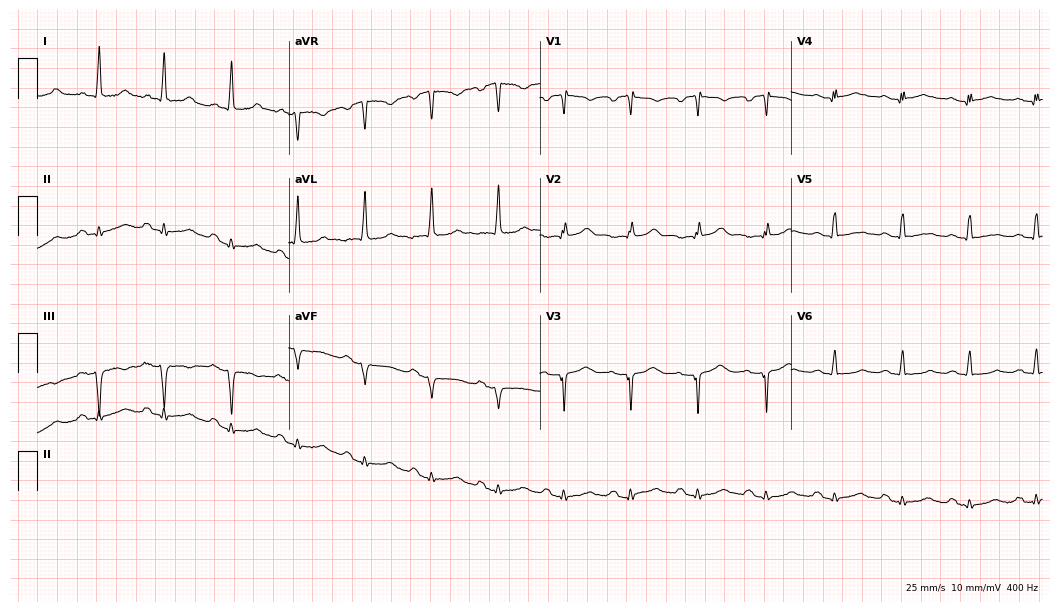
ECG — a 61-year-old woman. Screened for six findings — first-degree AV block, right bundle branch block, left bundle branch block, sinus bradycardia, atrial fibrillation, sinus tachycardia — none is recorded. Only these six findings were labelled.